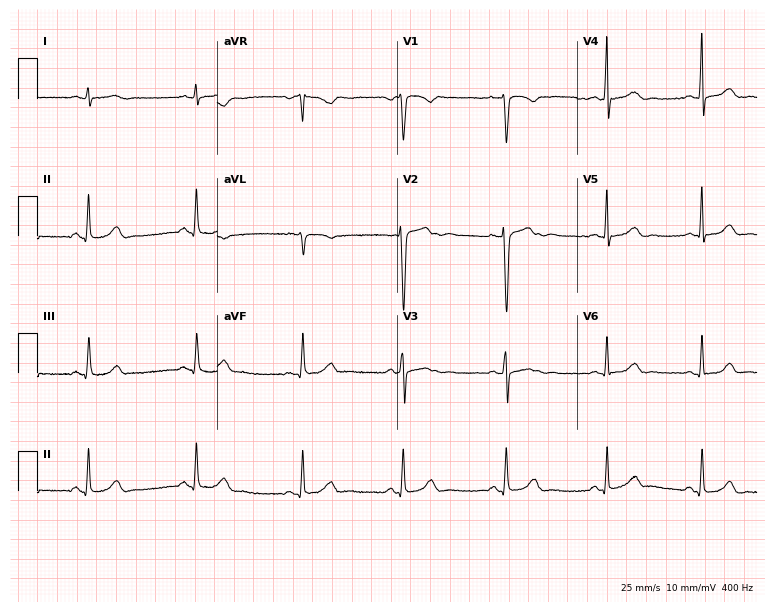
12-lead ECG (7.3-second recording at 400 Hz) from a woman, 32 years old. Labelled as a normal ECG.